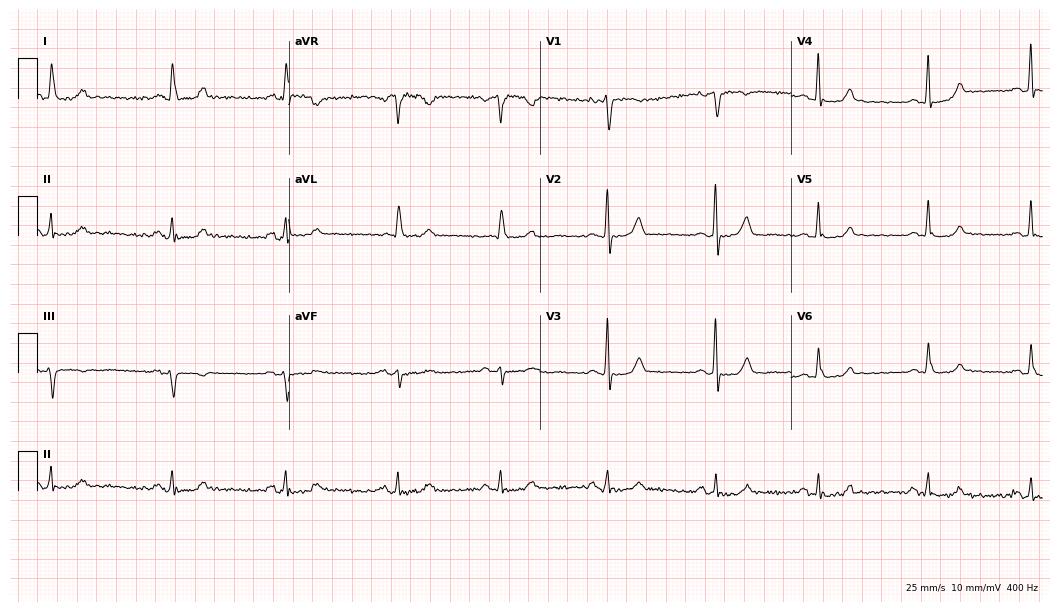
12-lead ECG from a 73-year-old woman (10.2-second recording at 400 Hz). Recorded interpretation: within normal limits.